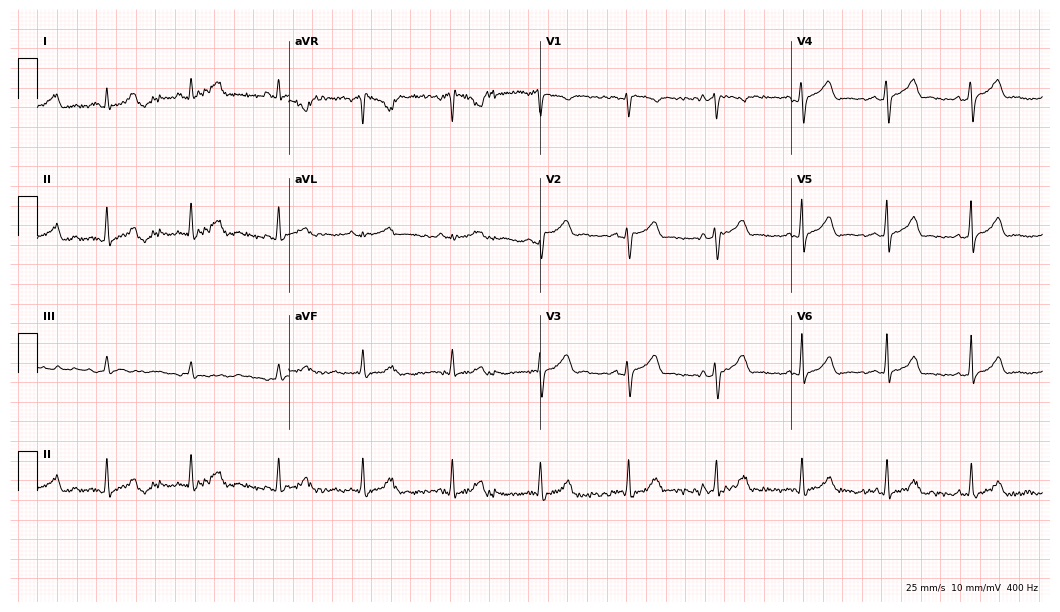
Resting 12-lead electrocardiogram (10.2-second recording at 400 Hz). Patient: a 35-year-old man. Read as a normal ECG.